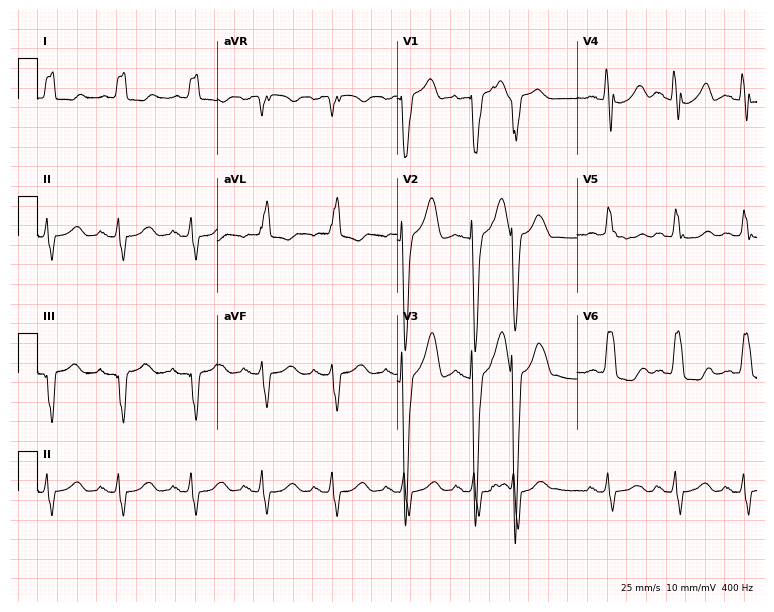
Standard 12-lead ECG recorded from a female patient, 82 years old (7.3-second recording at 400 Hz). The tracing shows left bundle branch block.